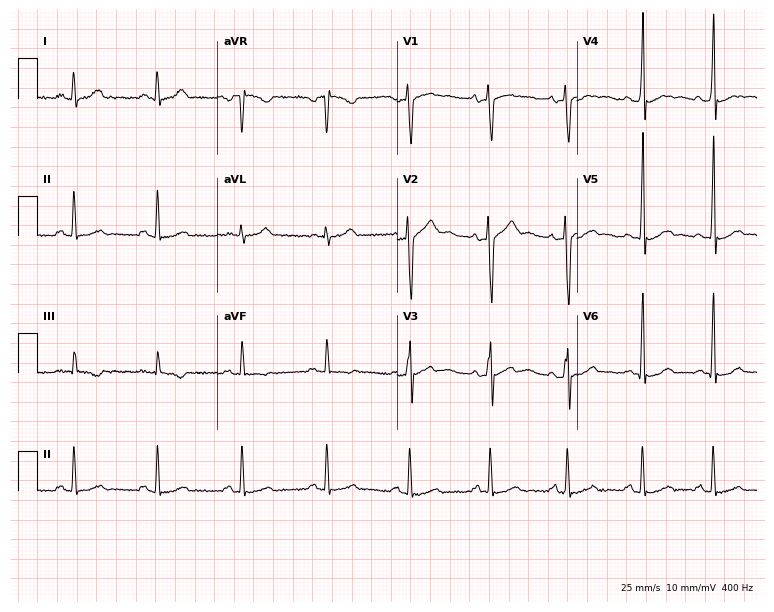
12-lead ECG from a male patient, 25 years old (7.3-second recording at 400 Hz). Recorded interpretation: within normal limits.